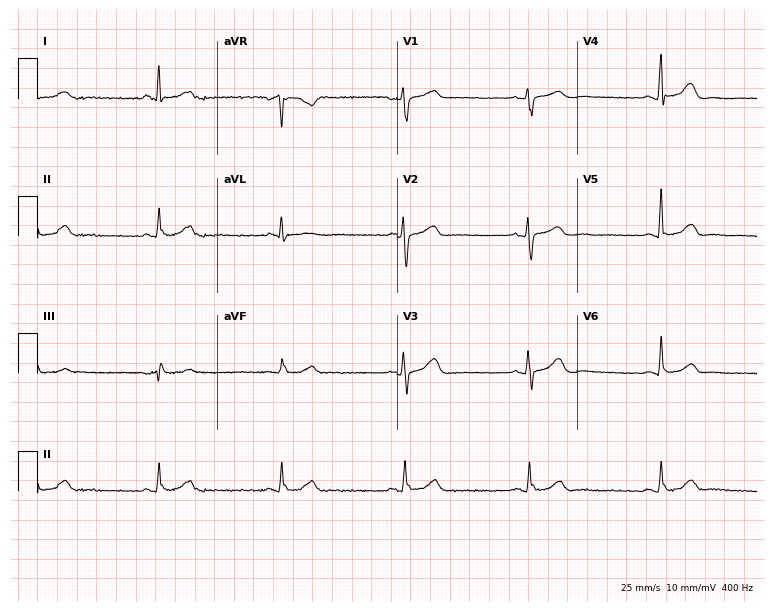
Standard 12-lead ECG recorded from a female, 63 years old. The tracing shows sinus bradycardia (a sinus rate of 50 beats per minute or less).